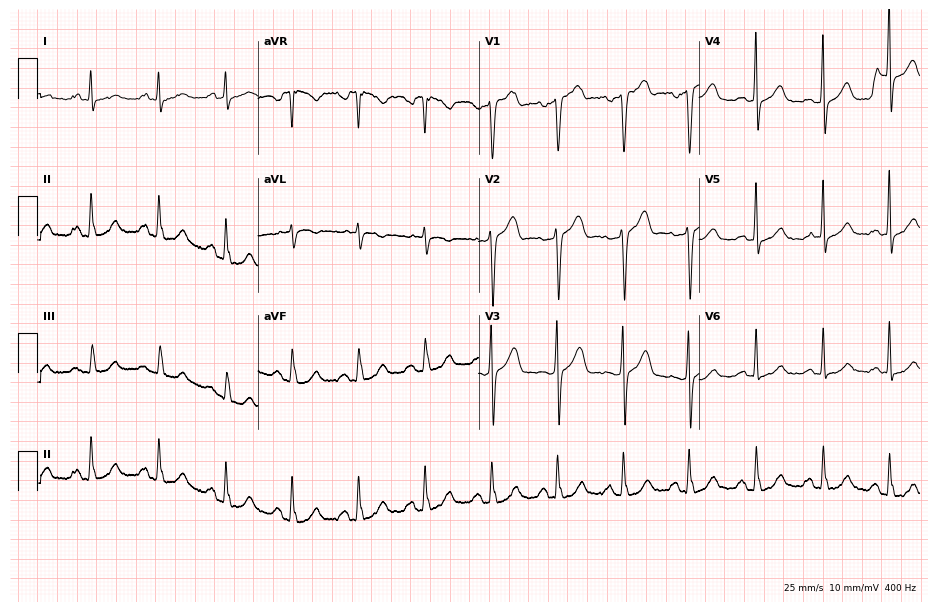
ECG (9-second recording at 400 Hz) — a woman, 55 years old. Labelled as a normal ECG.